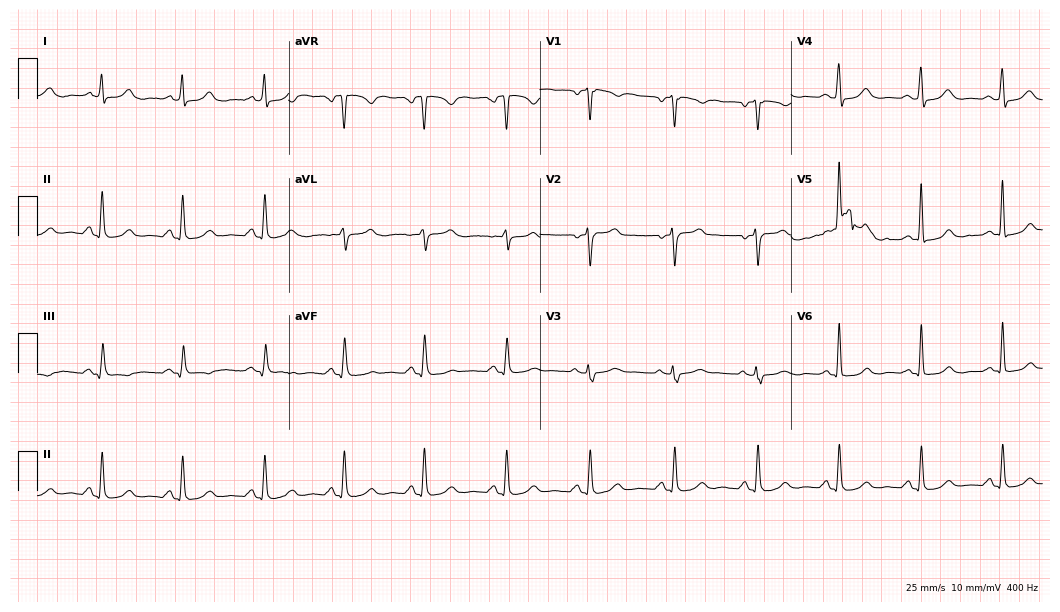
ECG — a female, 45 years old. Screened for six findings — first-degree AV block, right bundle branch block (RBBB), left bundle branch block (LBBB), sinus bradycardia, atrial fibrillation (AF), sinus tachycardia — none is recorded. Other findings, if any, are not listed.